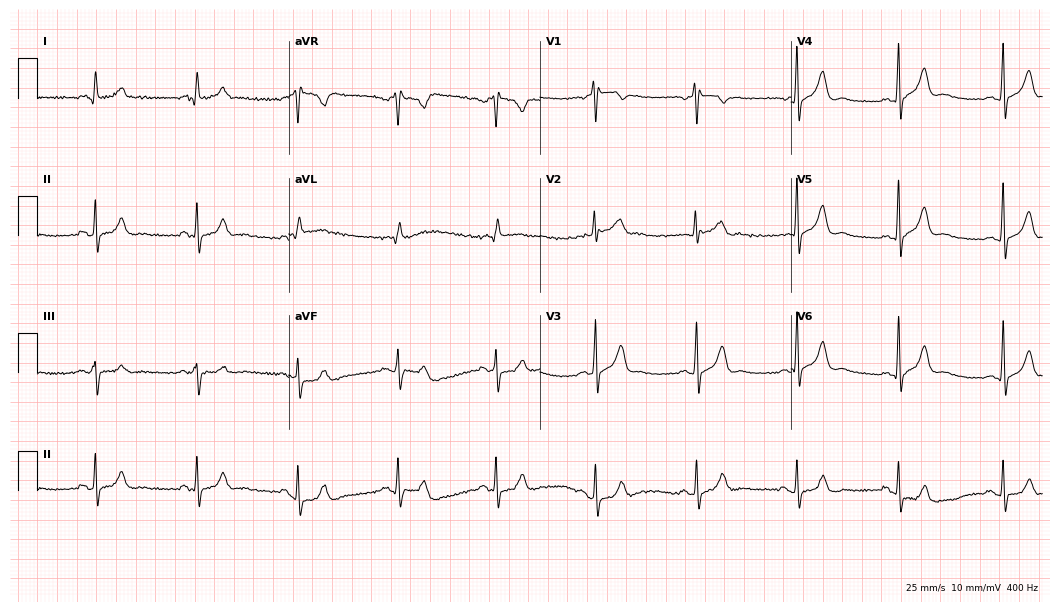
Electrocardiogram (10.2-second recording at 400 Hz), a male, 41 years old. Of the six screened findings (first-degree AV block, right bundle branch block, left bundle branch block, sinus bradycardia, atrial fibrillation, sinus tachycardia), none is recorded. Only these six findings were labelled.